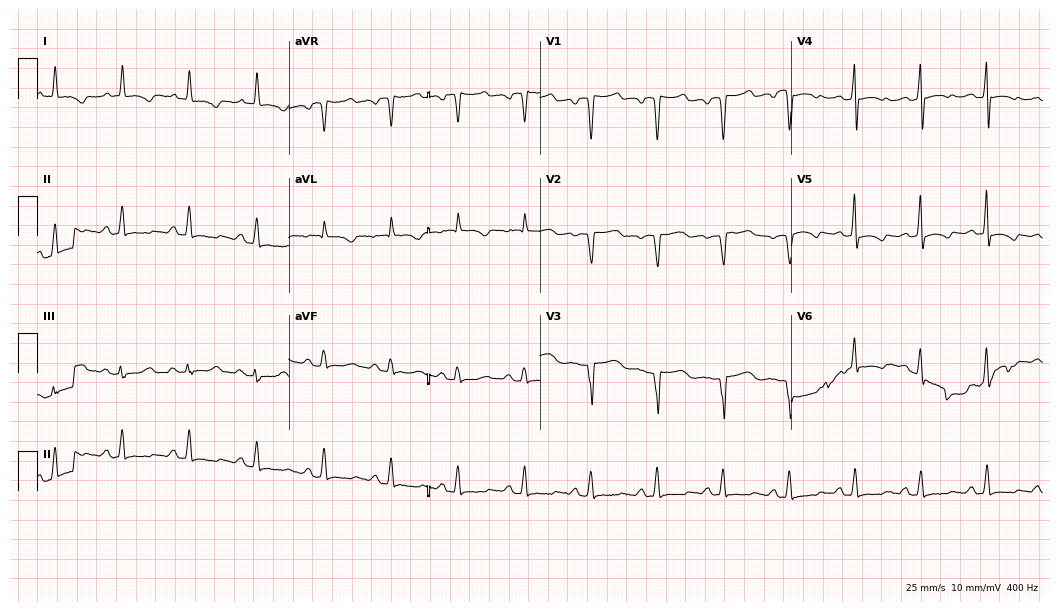
12-lead ECG from a female patient, 76 years old. Screened for six findings — first-degree AV block, right bundle branch block, left bundle branch block, sinus bradycardia, atrial fibrillation, sinus tachycardia — none is recorded.